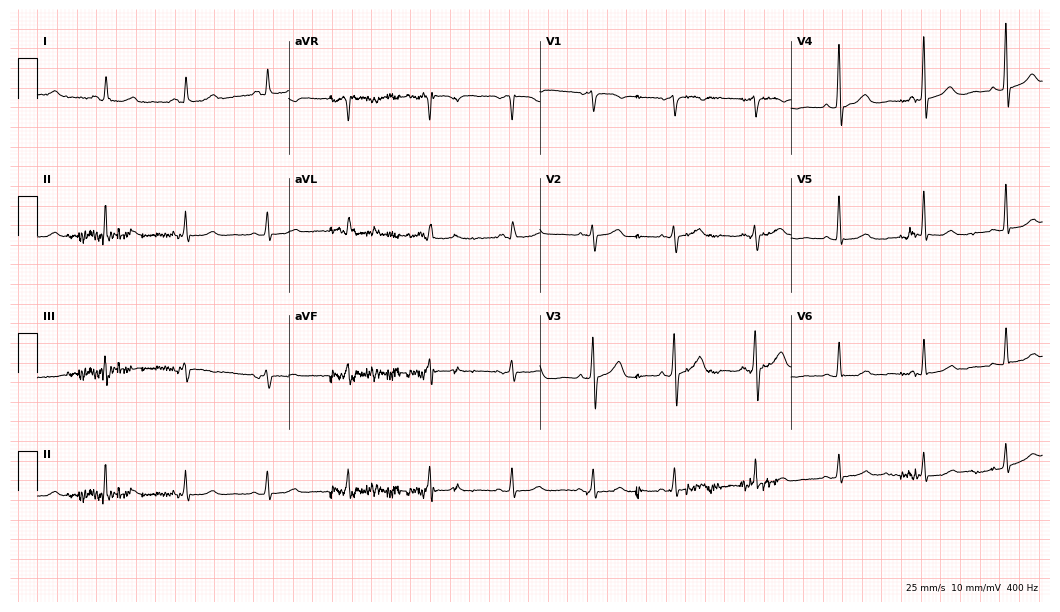
12-lead ECG from a female patient, 71 years old. Screened for six findings — first-degree AV block, right bundle branch block, left bundle branch block, sinus bradycardia, atrial fibrillation, sinus tachycardia — none is recorded.